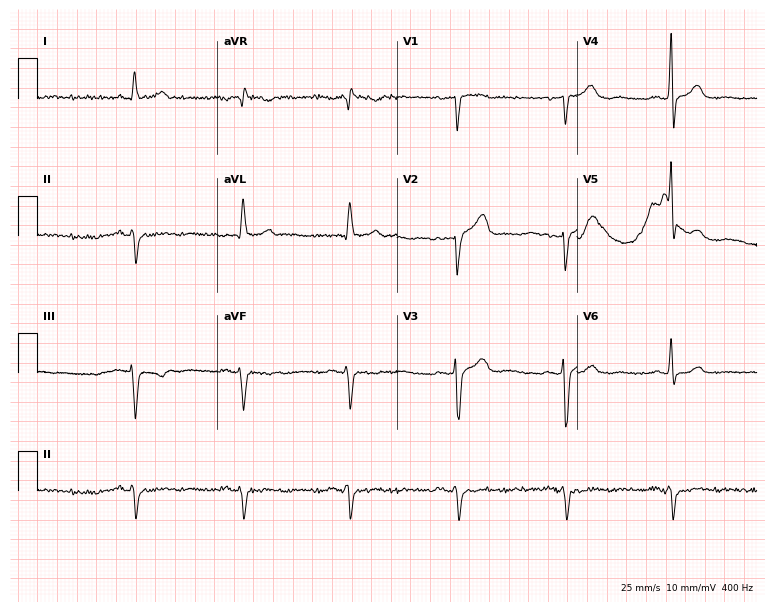
ECG (7.3-second recording at 400 Hz) — a man, 83 years old. Screened for six findings — first-degree AV block, right bundle branch block (RBBB), left bundle branch block (LBBB), sinus bradycardia, atrial fibrillation (AF), sinus tachycardia — none is recorded.